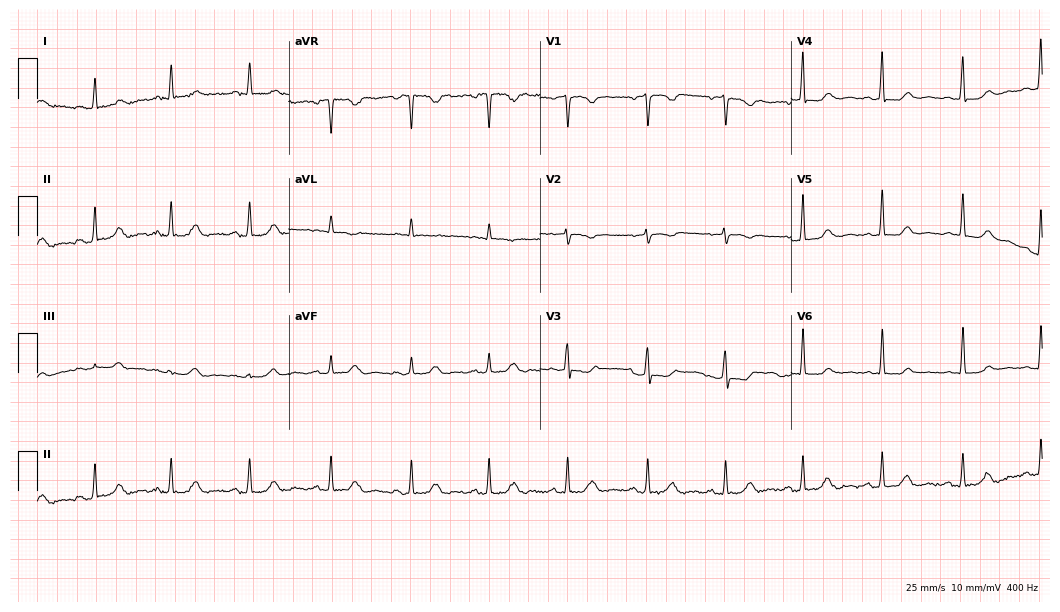
Standard 12-lead ECG recorded from a female, 65 years old. None of these six findings is recorded: first-degree AV block, right bundle branch block (RBBB), left bundle branch block (LBBB), sinus bradycardia, atrial fibrillation (AF), sinus tachycardia. Only these six findings were labelled.